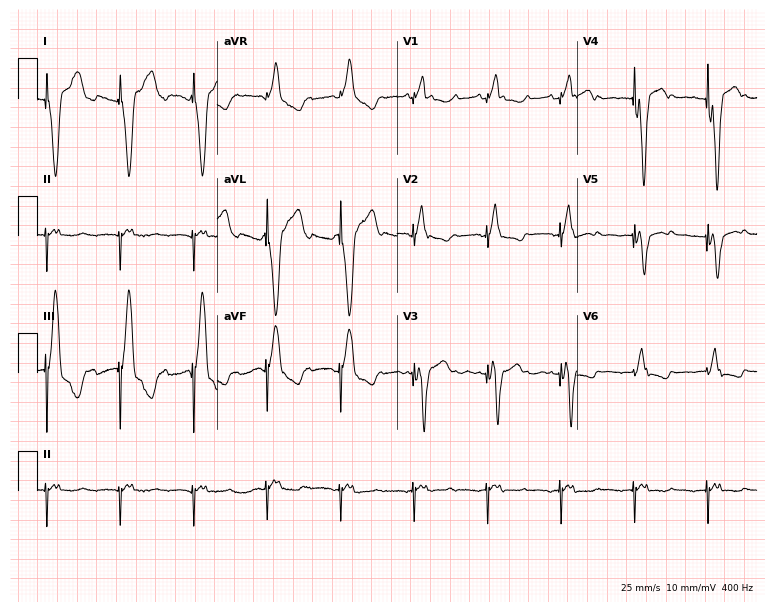
Electrocardiogram, a male, 69 years old. Of the six screened findings (first-degree AV block, right bundle branch block, left bundle branch block, sinus bradycardia, atrial fibrillation, sinus tachycardia), none is recorded. Only these six findings were labelled.